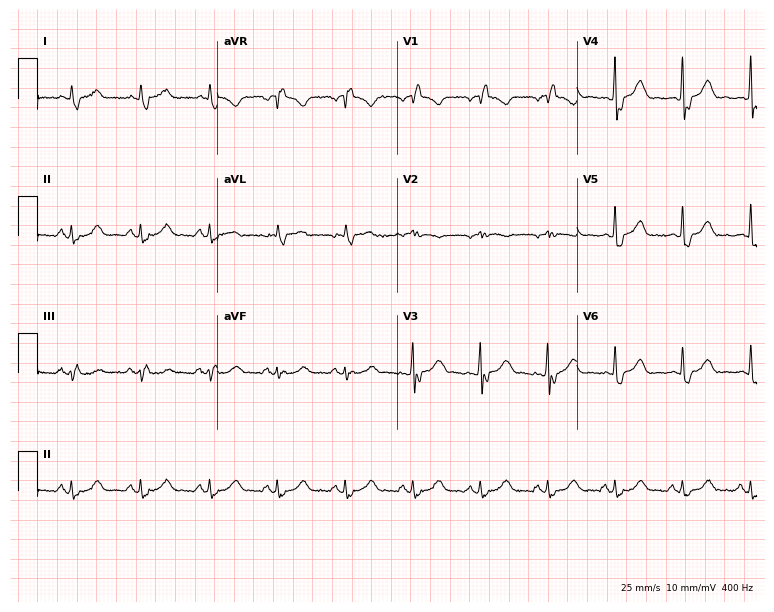
Standard 12-lead ECG recorded from a male, 80 years old. The tracing shows right bundle branch block (RBBB).